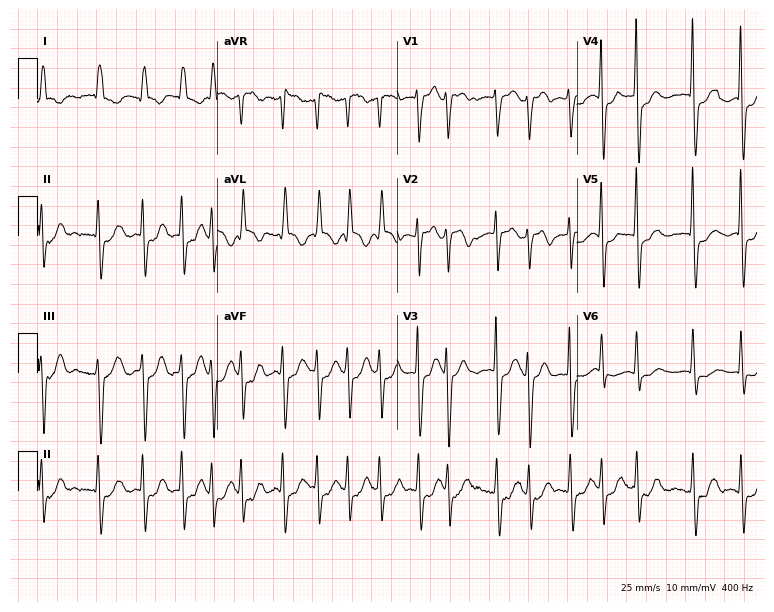
12-lead ECG (7.3-second recording at 400 Hz) from a female, 67 years old. Findings include atrial fibrillation.